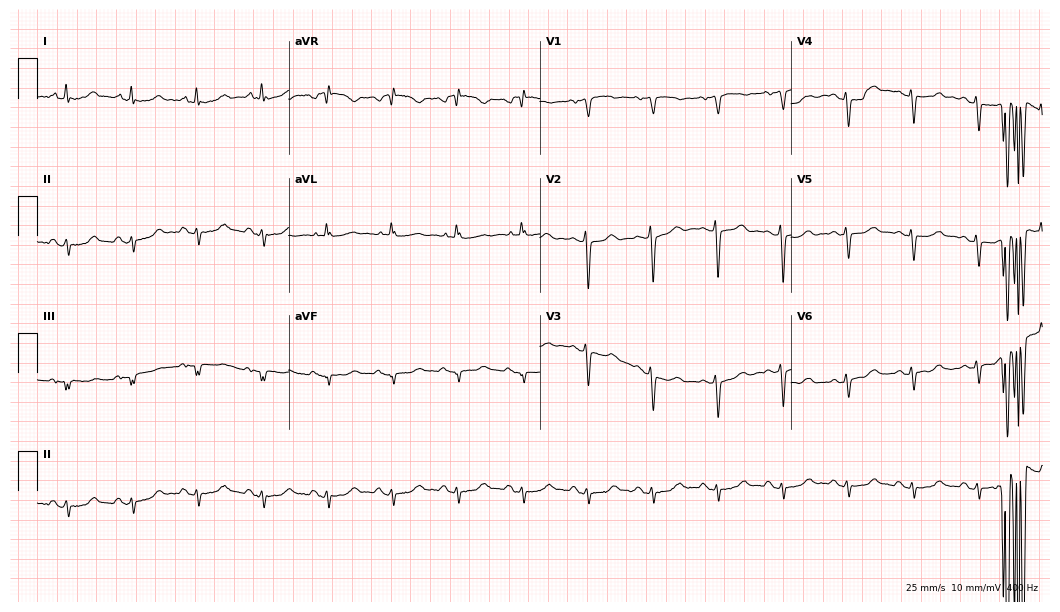
Electrocardiogram, a male patient, 73 years old. Of the six screened findings (first-degree AV block, right bundle branch block, left bundle branch block, sinus bradycardia, atrial fibrillation, sinus tachycardia), none is recorded.